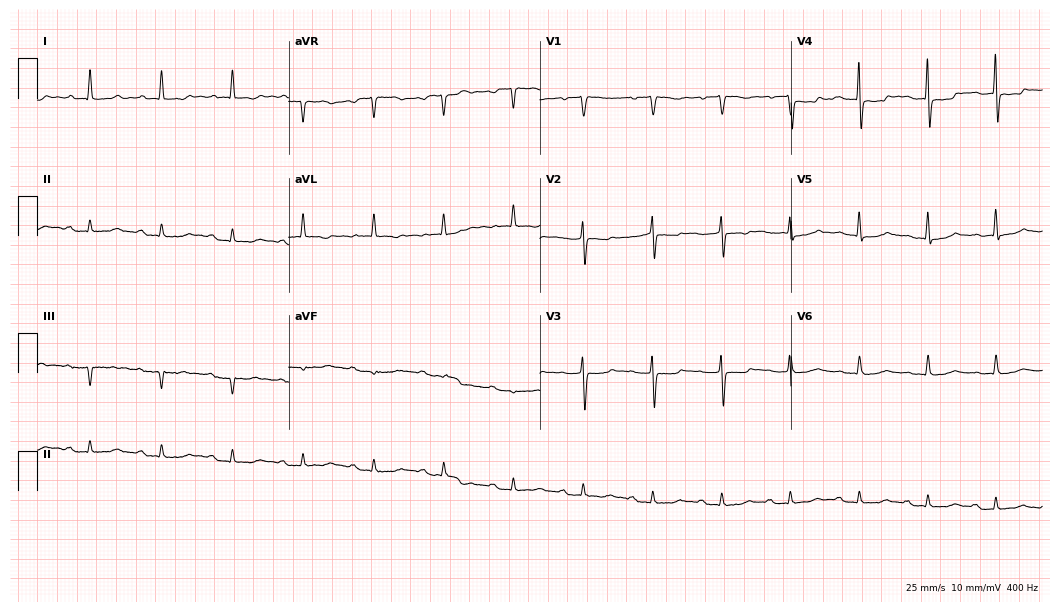
Standard 12-lead ECG recorded from a 78-year-old female patient (10.2-second recording at 400 Hz). The tracing shows first-degree AV block.